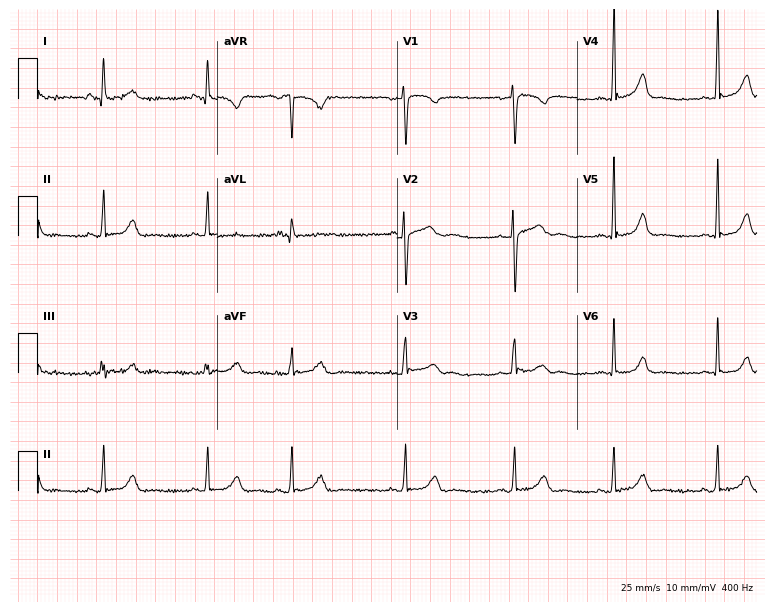
Standard 12-lead ECG recorded from a female, 19 years old. None of these six findings is recorded: first-degree AV block, right bundle branch block, left bundle branch block, sinus bradycardia, atrial fibrillation, sinus tachycardia.